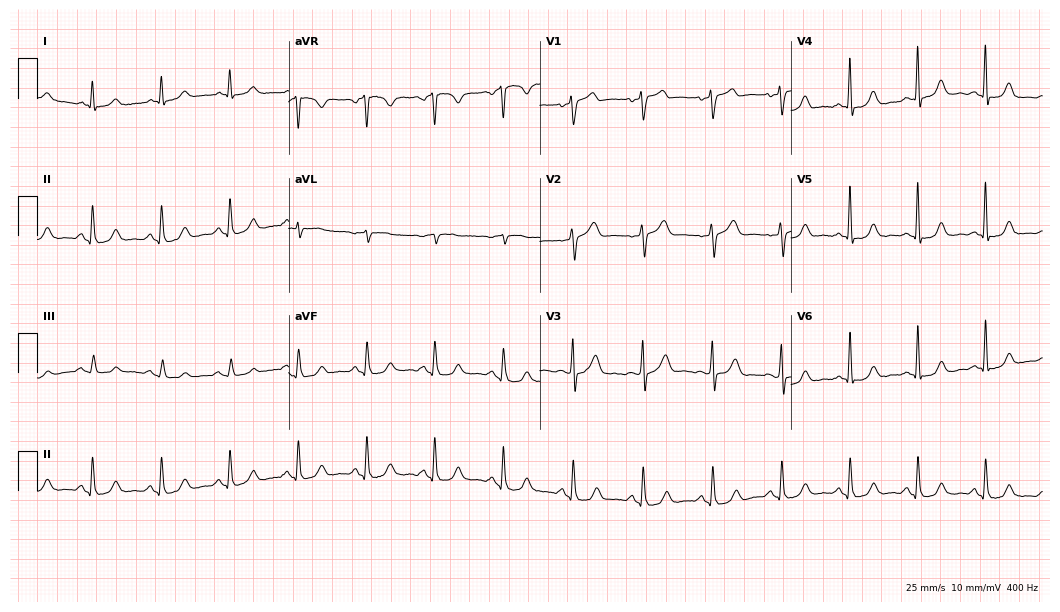
Electrocardiogram (10.2-second recording at 400 Hz), a 60-year-old man. Of the six screened findings (first-degree AV block, right bundle branch block, left bundle branch block, sinus bradycardia, atrial fibrillation, sinus tachycardia), none is recorded. Only these six findings were labelled.